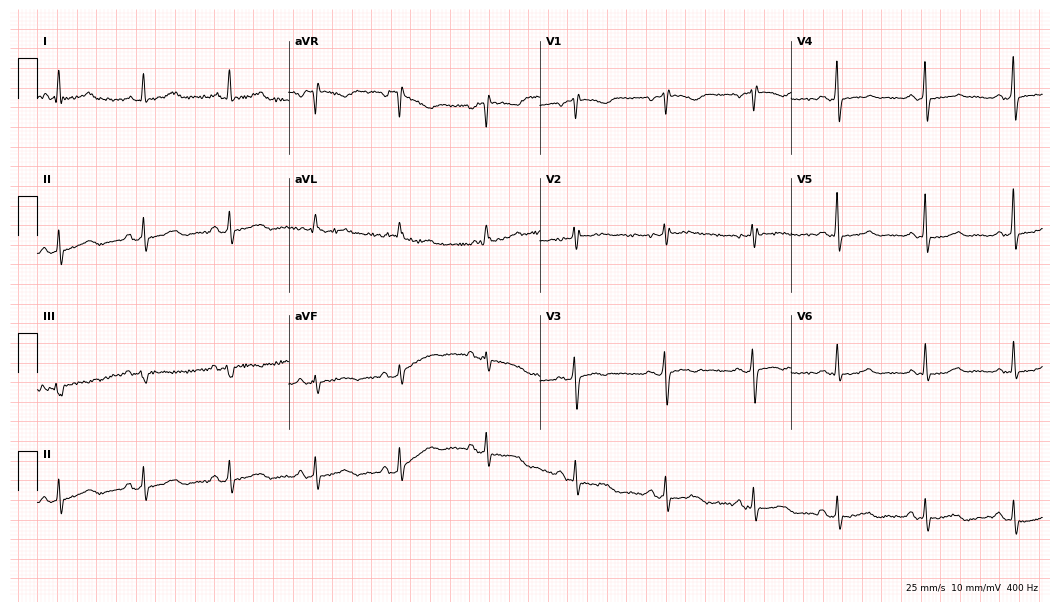
12-lead ECG from a female, 48 years old. No first-degree AV block, right bundle branch block (RBBB), left bundle branch block (LBBB), sinus bradycardia, atrial fibrillation (AF) or sinus tachycardia recorded for this tracing. Other findings, if any, are not listed.